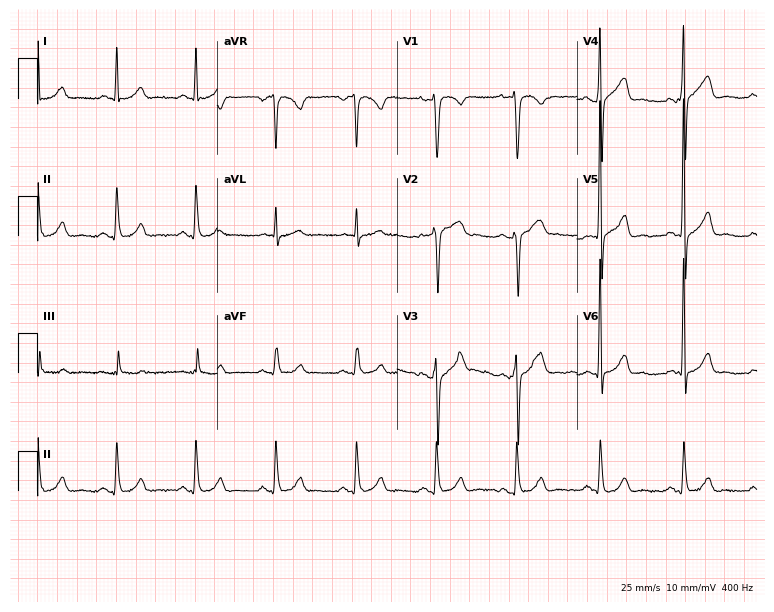
12-lead ECG from a 62-year-old male (7.3-second recording at 400 Hz). No first-degree AV block, right bundle branch block (RBBB), left bundle branch block (LBBB), sinus bradycardia, atrial fibrillation (AF) or sinus tachycardia recorded for this tracing. Findings outside these six are not listed.